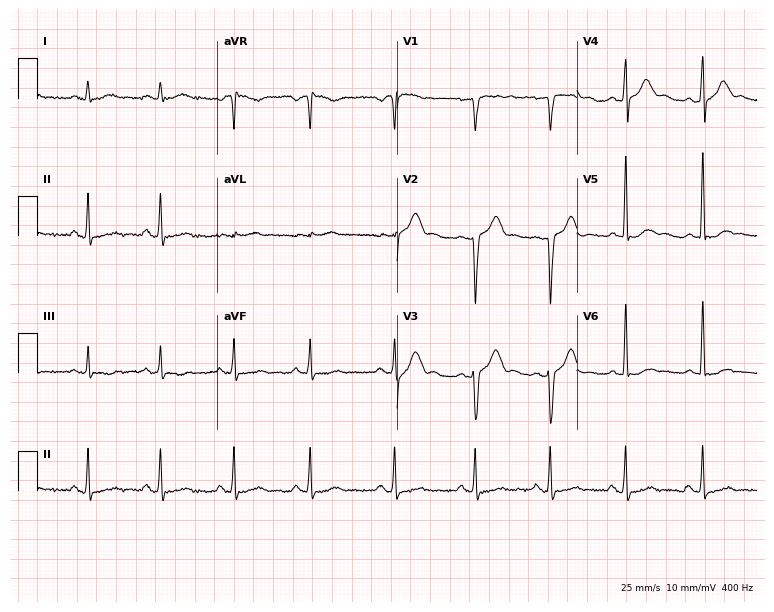
Standard 12-lead ECG recorded from a male, 43 years old. Read as a normal ECG.